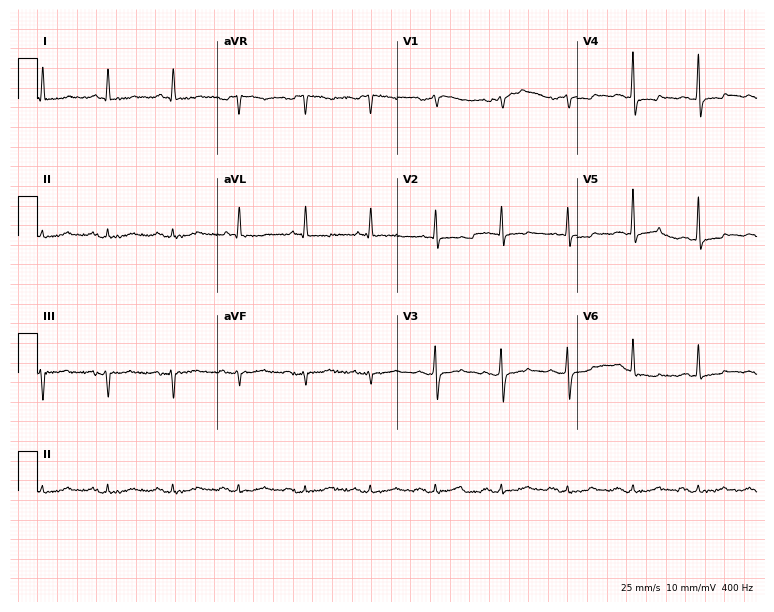
12-lead ECG from a man, 74 years old. No first-degree AV block, right bundle branch block (RBBB), left bundle branch block (LBBB), sinus bradycardia, atrial fibrillation (AF) or sinus tachycardia recorded for this tracing.